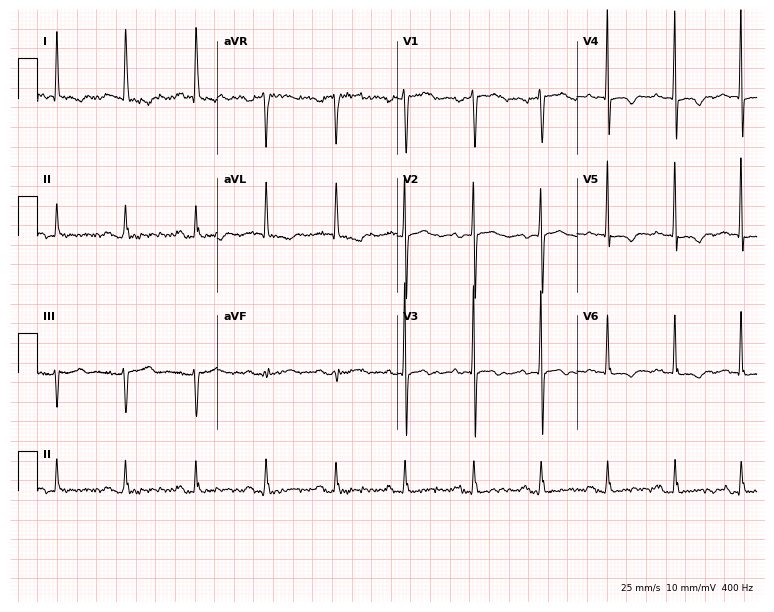
12-lead ECG from a 73-year-old woman (7.3-second recording at 400 Hz). No first-degree AV block, right bundle branch block, left bundle branch block, sinus bradycardia, atrial fibrillation or sinus tachycardia recorded for this tracing. Other findings, if any, are not listed.